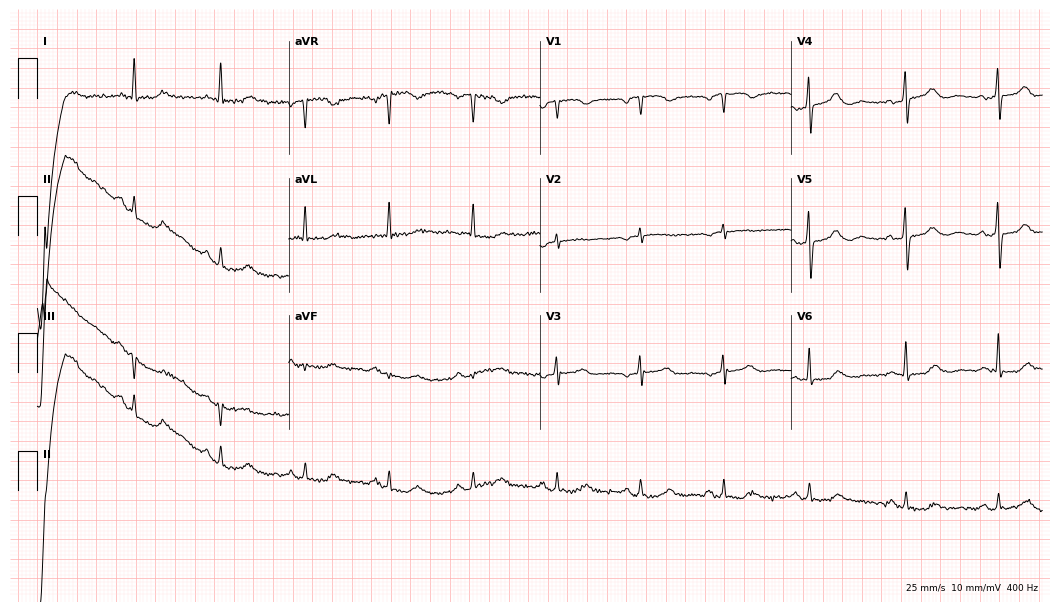
Electrocardiogram (10.2-second recording at 400 Hz), a 72-year-old woman. Of the six screened findings (first-degree AV block, right bundle branch block (RBBB), left bundle branch block (LBBB), sinus bradycardia, atrial fibrillation (AF), sinus tachycardia), none is recorded. Other findings, if any, are not listed.